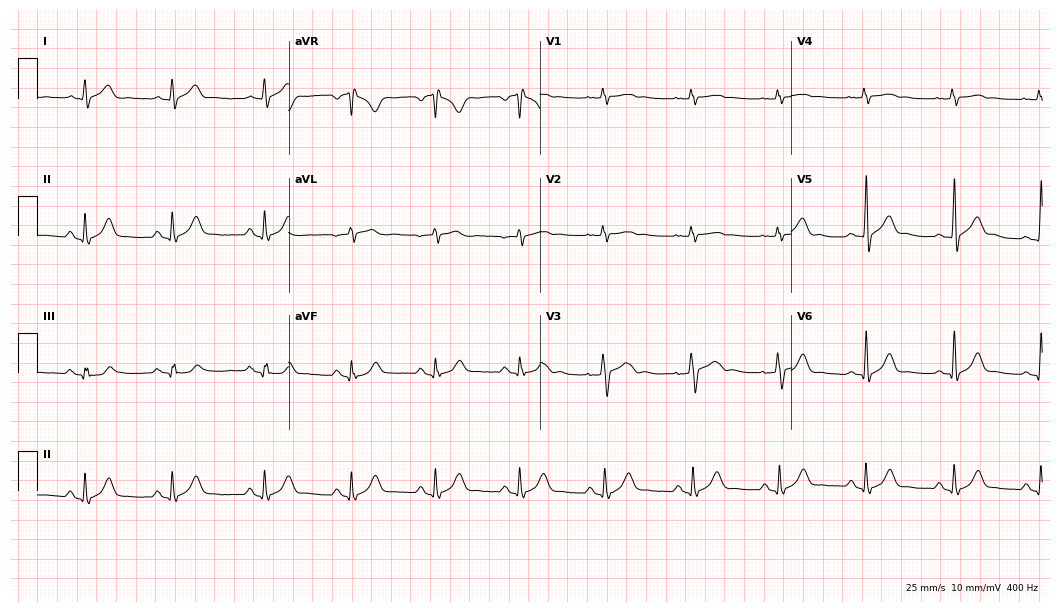
12-lead ECG from a 31-year-old male patient. Labelled as a normal ECG.